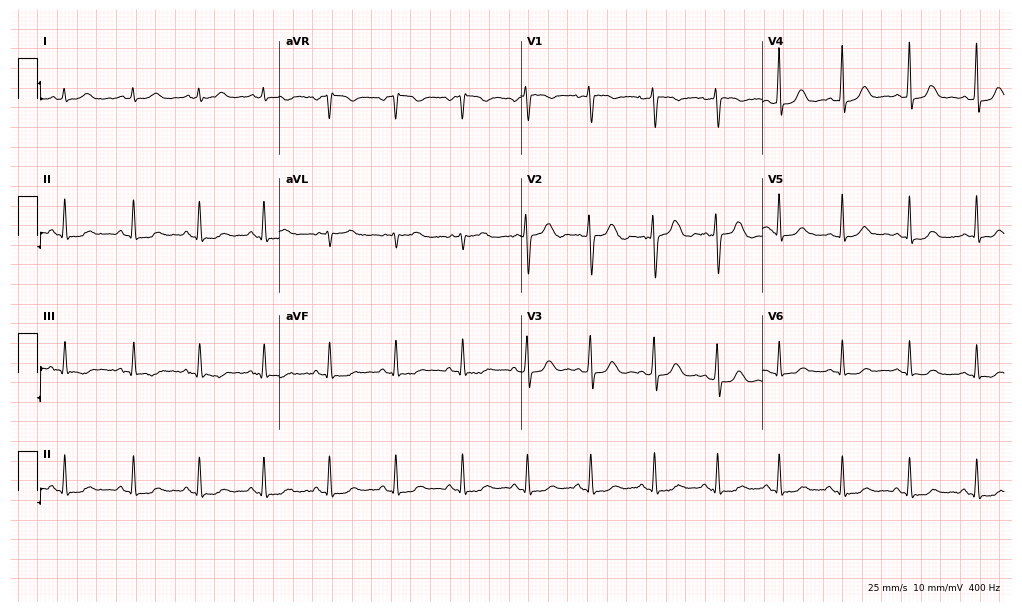
12-lead ECG (9.9-second recording at 400 Hz) from a female patient, 45 years old. Labelled as a normal ECG.